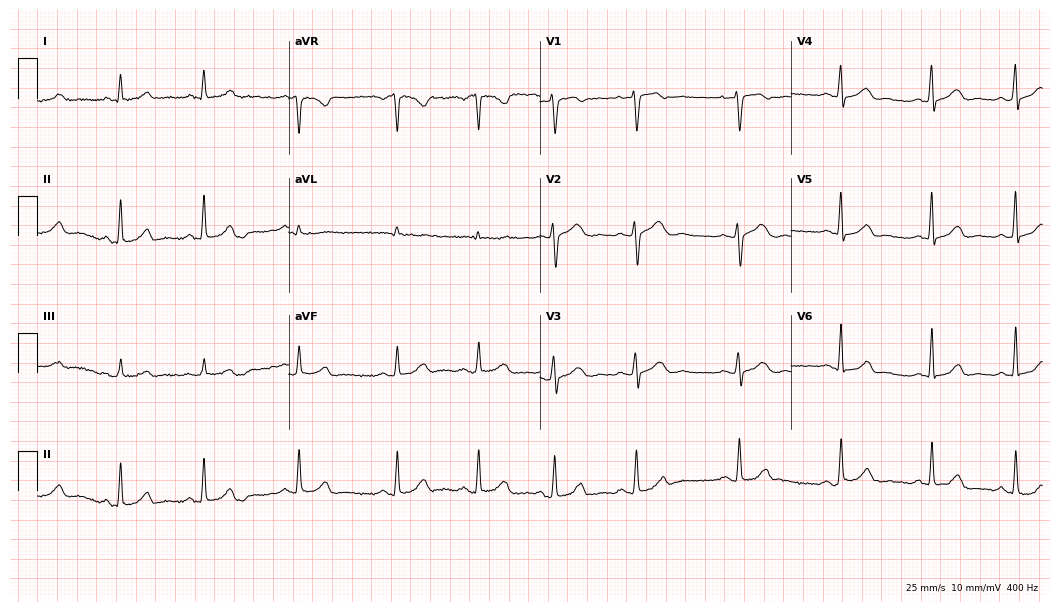
Standard 12-lead ECG recorded from a female, 26 years old (10.2-second recording at 400 Hz). Read as a normal ECG.